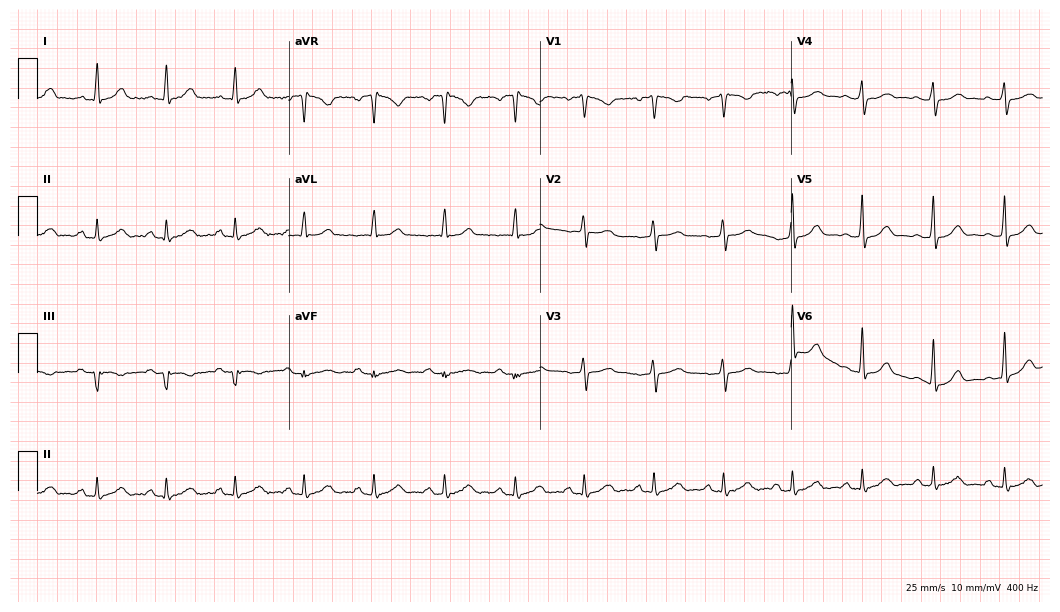
Electrocardiogram (10.2-second recording at 400 Hz), a female, 35 years old. Overall reading on record: normal ECG.